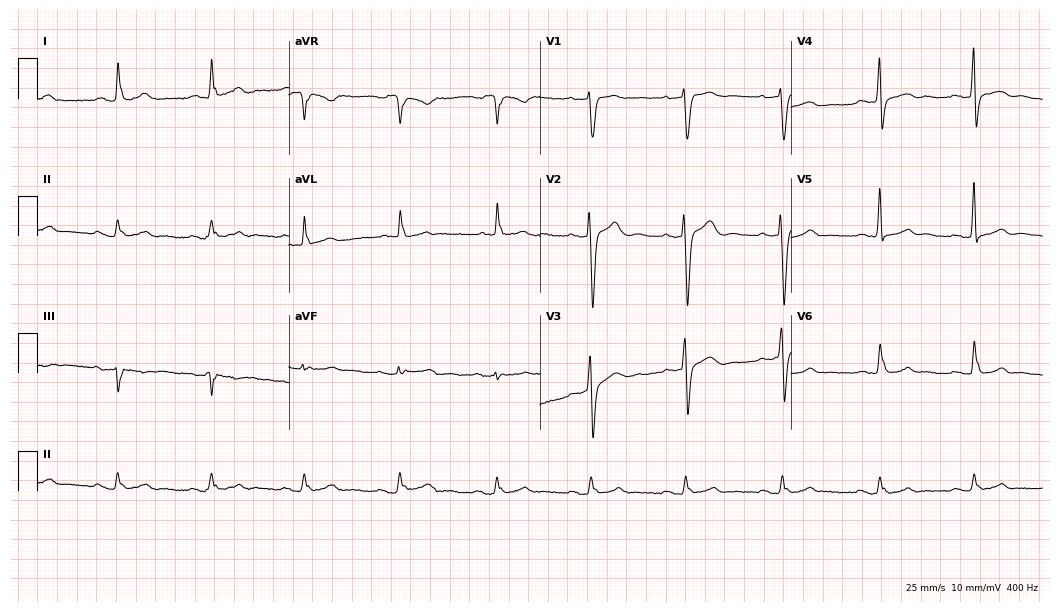
12-lead ECG from a male patient, 67 years old. Findings include left bundle branch block.